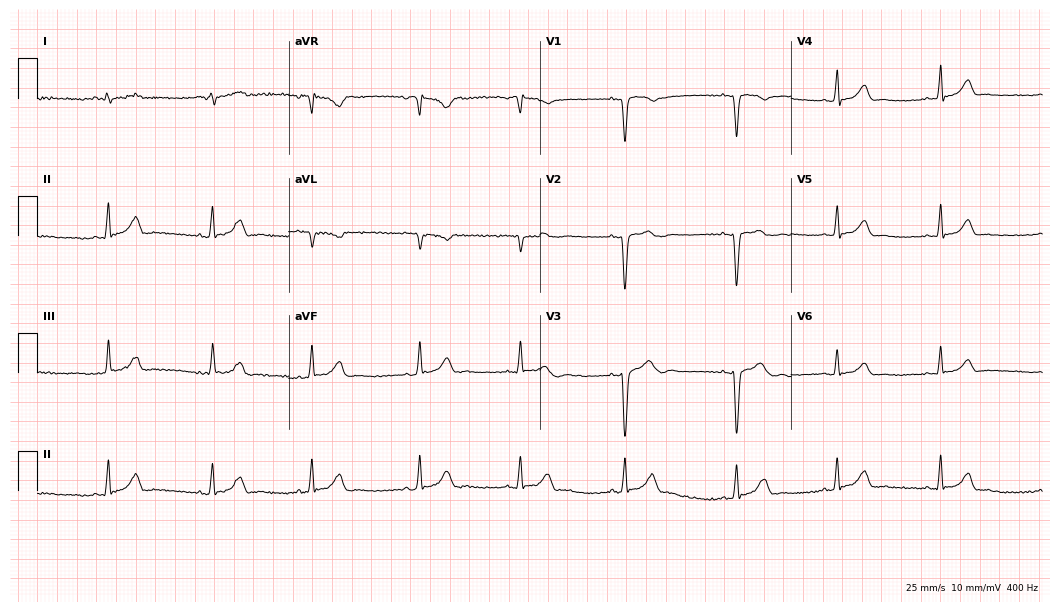
Standard 12-lead ECG recorded from a woman, 21 years old. Read as a normal ECG.